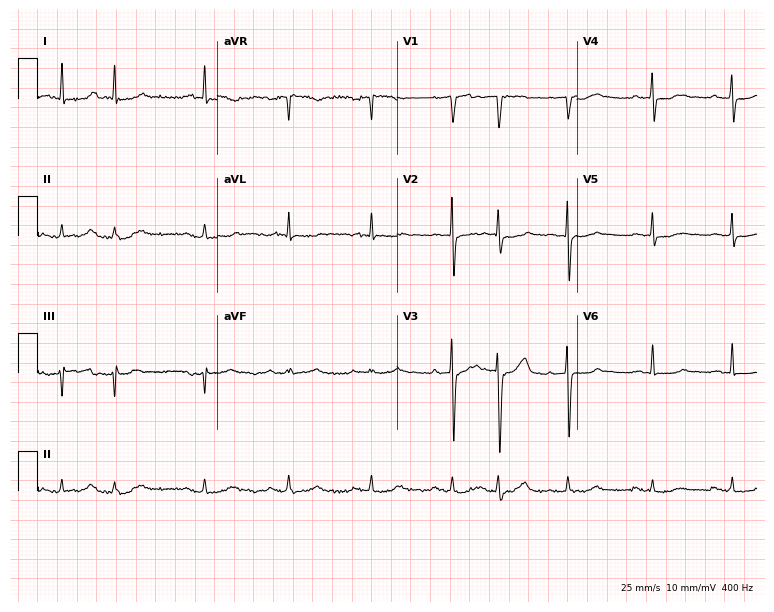
Resting 12-lead electrocardiogram (7.3-second recording at 400 Hz). Patient: an 85-year-old male. None of these six findings is recorded: first-degree AV block, right bundle branch block (RBBB), left bundle branch block (LBBB), sinus bradycardia, atrial fibrillation (AF), sinus tachycardia.